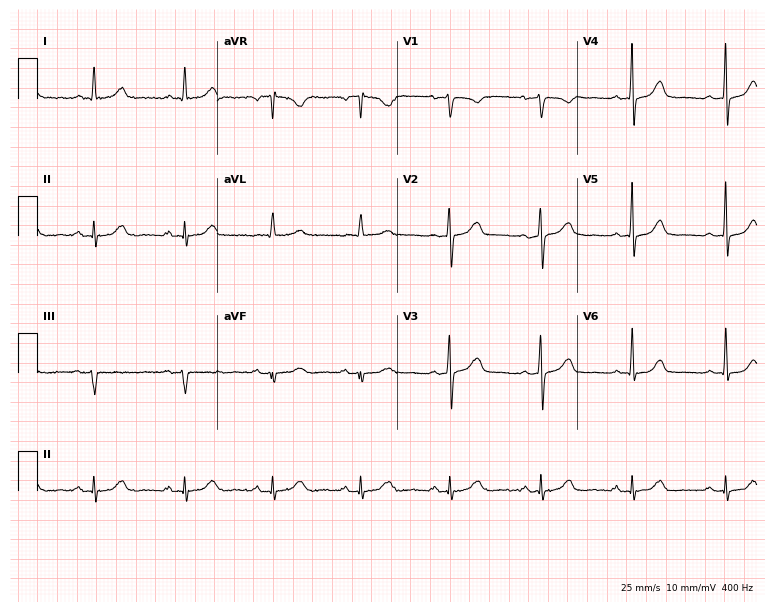
ECG — a woman, 45 years old. Screened for six findings — first-degree AV block, right bundle branch block, left bundle branch block, sinus bradycardia, atrial fibrillation, sinus tachycardia — none is recorded. Only these six findings were labelled.